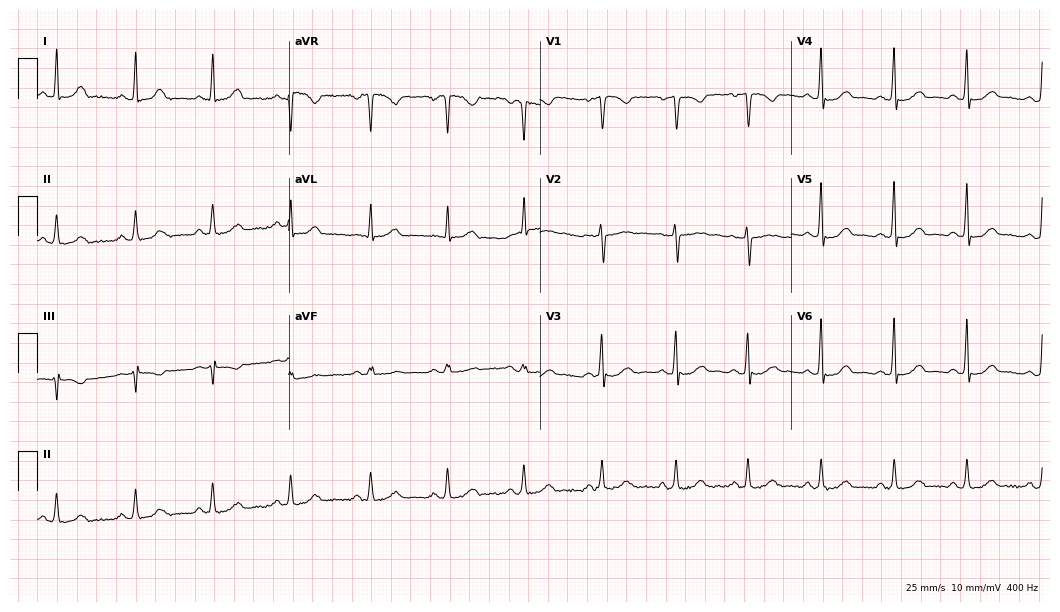
12-lead ECG from a female patient, 42 years old. Labelled as a normal ECG.